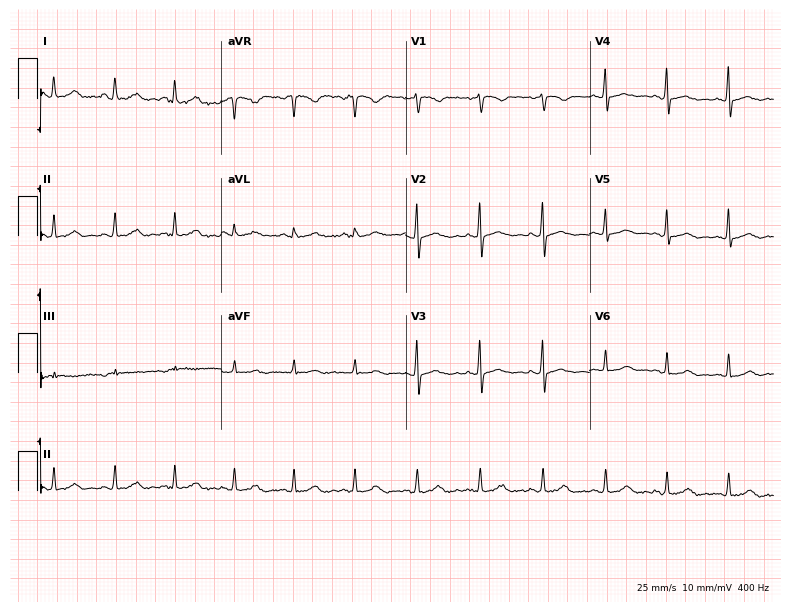
12-lead ECG from a female, 22 years old (7.5-second recording at 400 Hz). No first-degree AV block, right bundle branch block, left bundle branch block, sinus bradycardia, atrial fibrillation or sinus tachycardia recorded for this tracing.